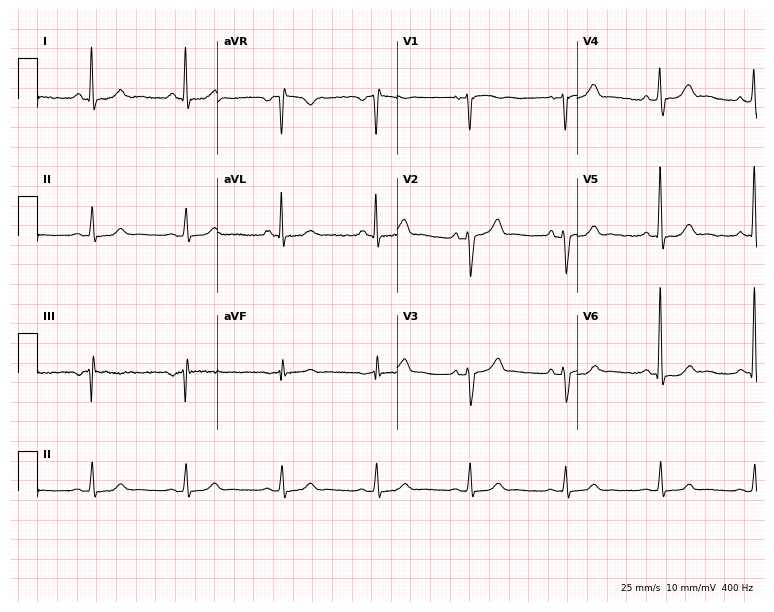
Electrocardiogram, a 44-year-old female patient. Of the six screened findings (first-degree AV block, right bundle branch block, left bundle branch block, sinus bradycardia, atrial fibrillation, sinus tachycardia), none is recorded.